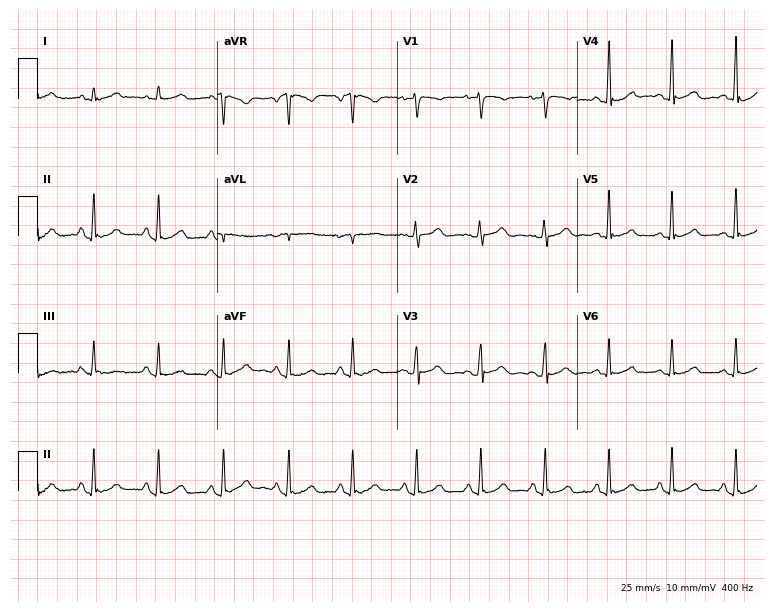
Electrocardiogram (7.3-second recording at 400 Hz), a 45-year-old female patient. Overall reading on record: normal ECG.